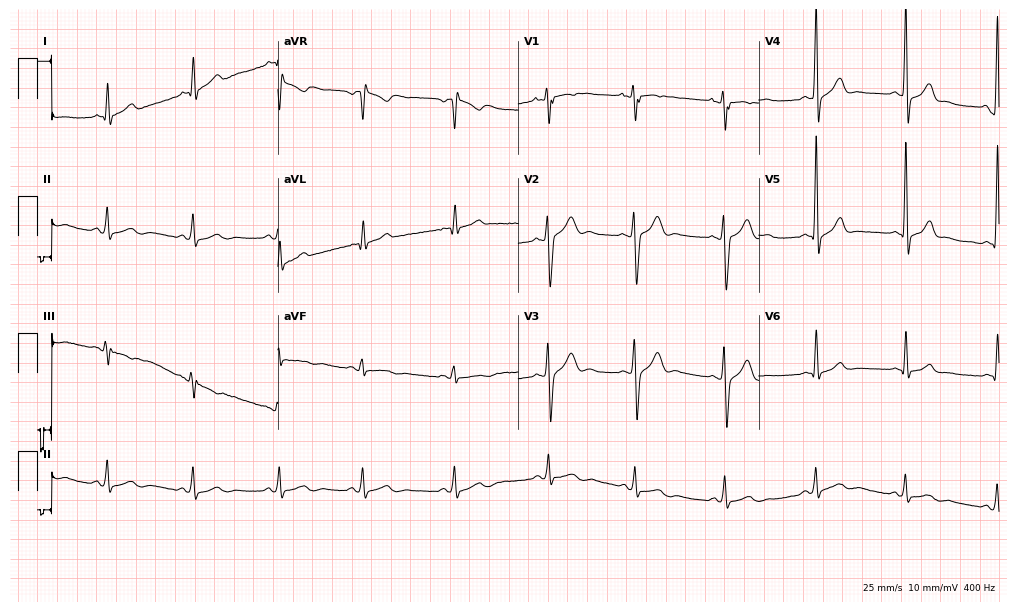
12-lead ECG (9.8-second recording at 400 Hz) from a male patient, 19 years old. Screened for six findings — first-degree AV block, right bundle branch block, left bundle branch block, sinus bradycardia, atrial fibrillation, sinus tachycardia — none is recorded. Findings outside these six are not listed.